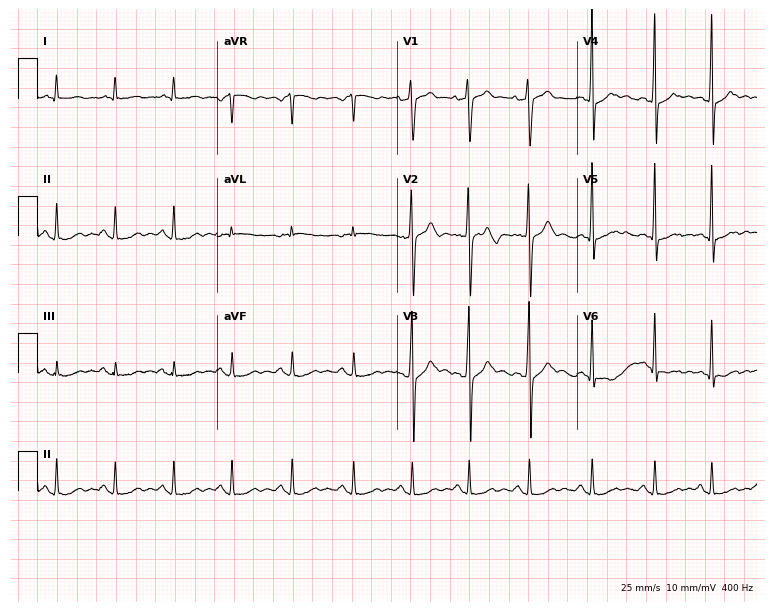
Electrocardiogram, a male, 42 years old. Of the six screened findings (first-degree AV block, right bundle branch block, left bundle branch block, sinus bradycardia, atrial fibrillation, sinus tachycardia), none is recorded.